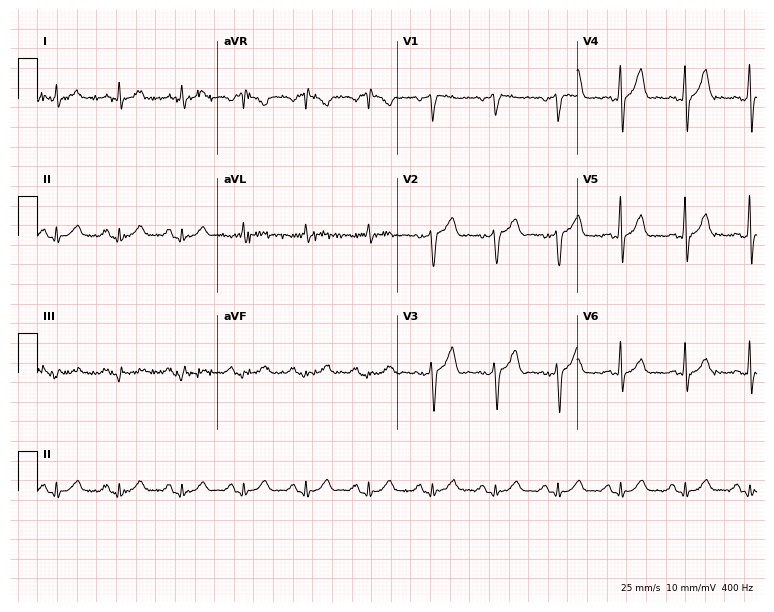
ECG (7.3-second recording at 400 Hz) — a male patient, 51 years old. Screened for six findings — first-degree AV block, right bundle branch block, left bundle branch block, sinus bradycardia, atrial fibrillation, sinus tachycardia — none is recorded. Findings outside these six are not listed.